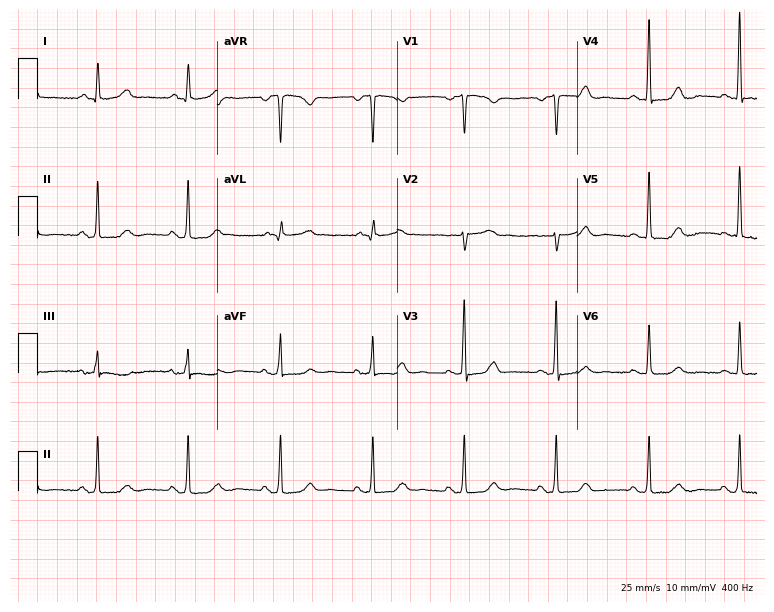
Electrocardiogram, a 70-year-old female. Overall reading on record: normal ECG.